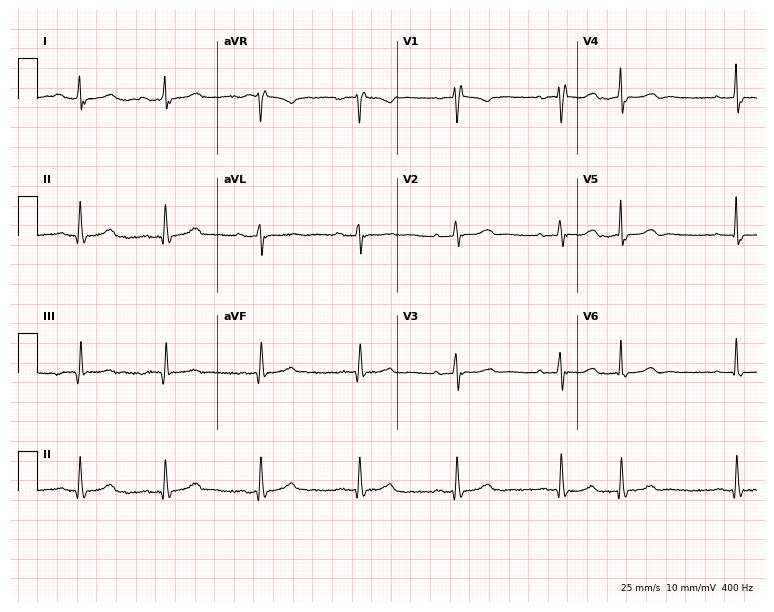
Resting 12-lead electrocardiogram (7.3-second recording at 400 Hz). Patient: a woman, 81 years old. None of these six findings is recorded: first-degree AV block, right bundle branch block, left bundle branch block, sinus bradycardia, atrial fibrillation, sinus tachycardia. Other findings, if any, are not listed.